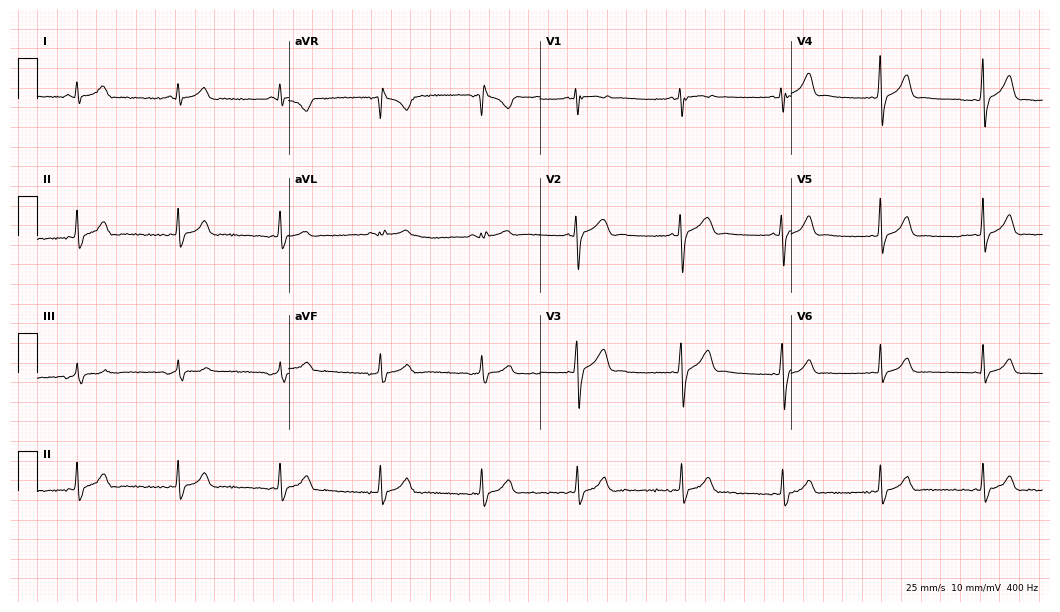
Electrocardiogram (10.2-second recording at 400 Hz), a 19-year-old man. Overall reading on record: normal ECG.